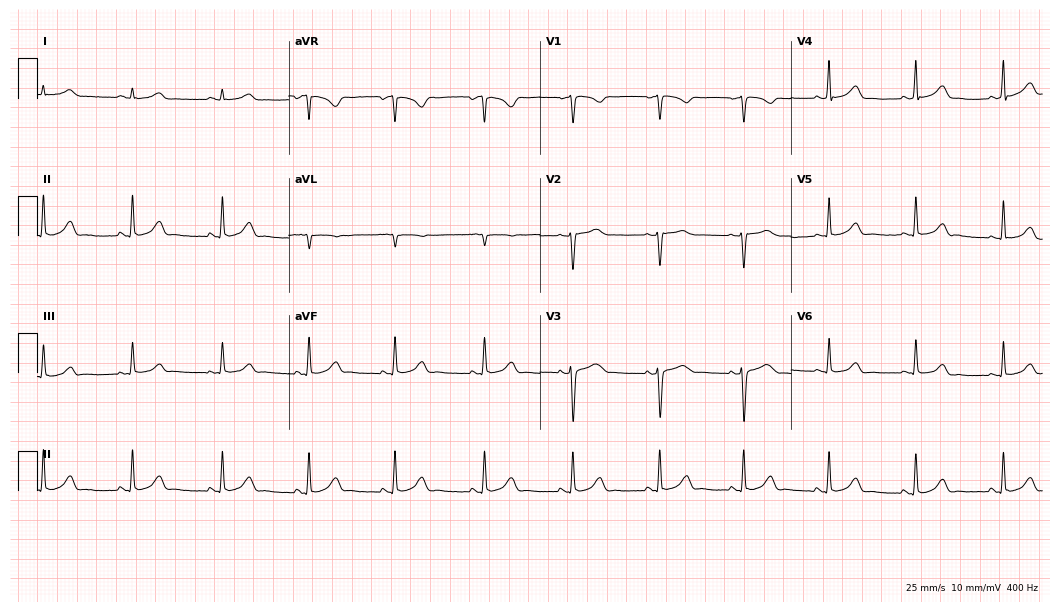
12-lead ECG from a 36-year-old woman. Labelled as a normal ECG.